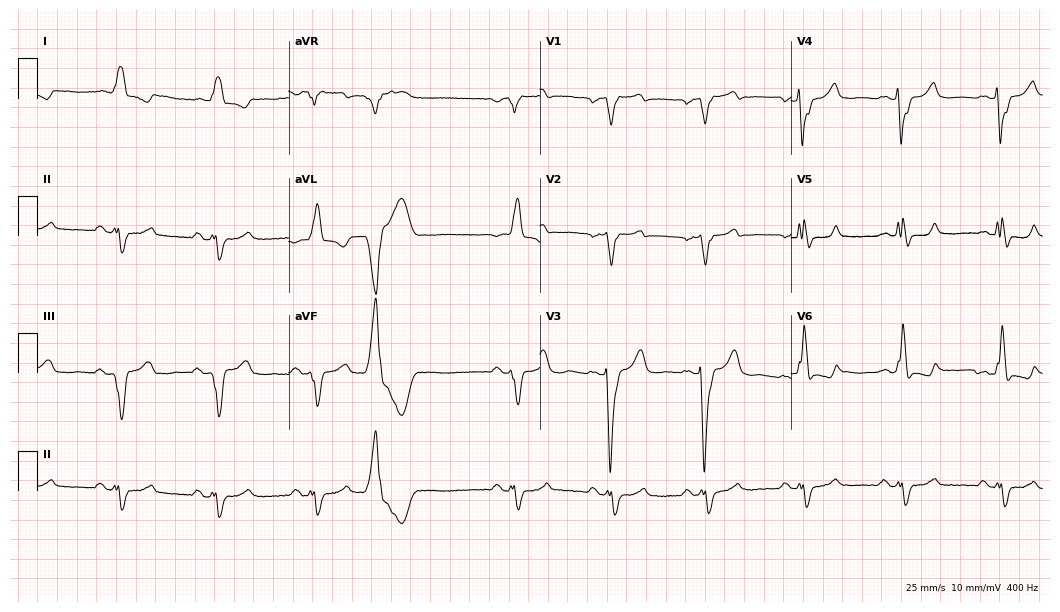
Electrocardiogram, a 72-year-old male. Of the six screened findings (first-degree AV block, right bundle branch block, left bundle branch block, sinus bradycardia, atrial fibrillation, sinus tachycardia), none is recorded.